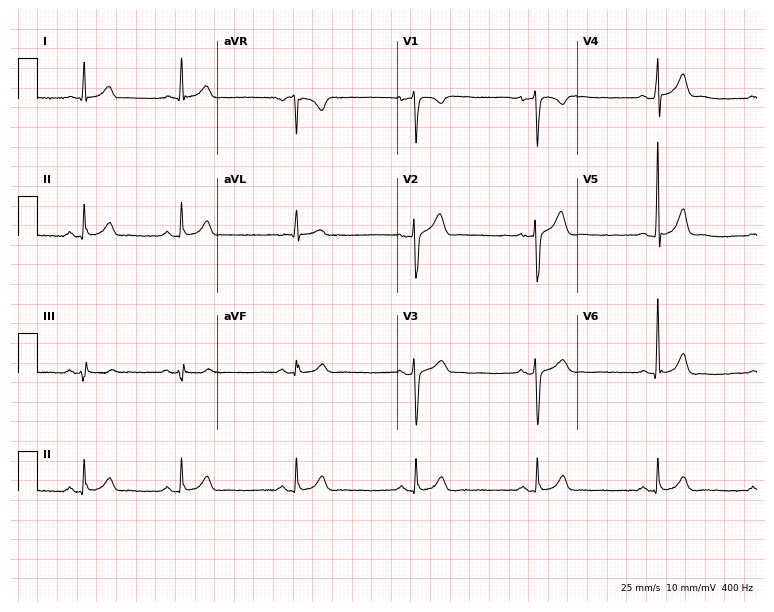
Standard 12-lead ECG recorded from a man, 39 years old (7.3-second recording at 400 Hz). Read as a normal ECG.